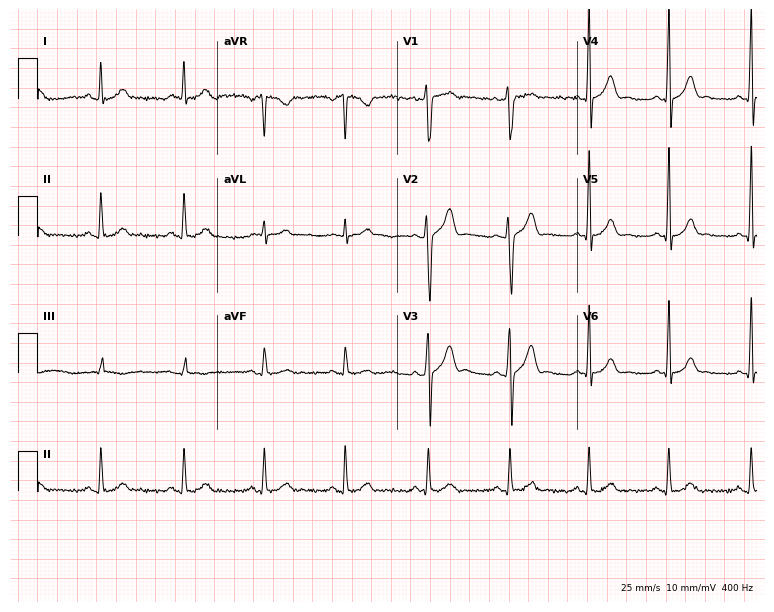
Resting 12-lead electrocardiogram (7.3-second recording at 400 Hz). Patient: a 25-year-old male. None of these six findings is recorded: first-degree AV block, right bundle branch block (RBBB), left bundle branch block (LBBB), sinus bradycardia, atrial fibrillation (AF), sinus tachycardia.